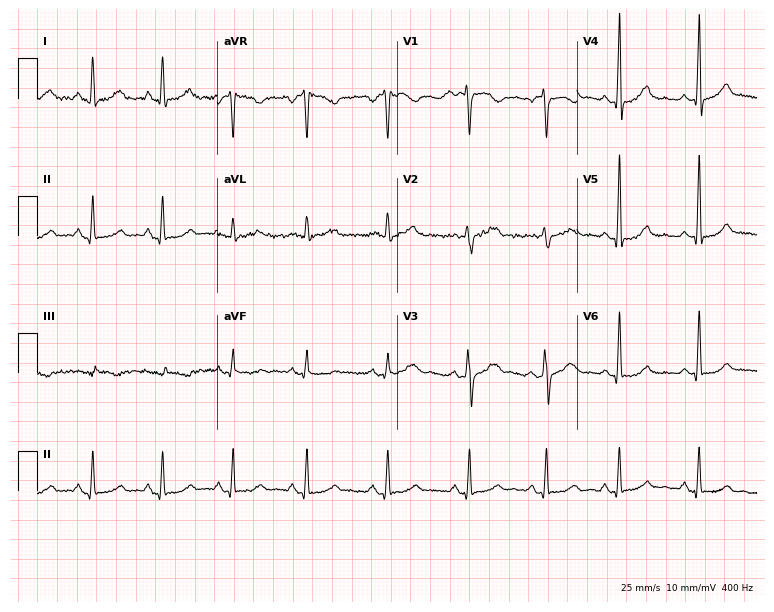
12-lead ECG from a male patient, 32 years old (7.3-second recording at 400 Hz). Recorded interpretation: within normal limits.